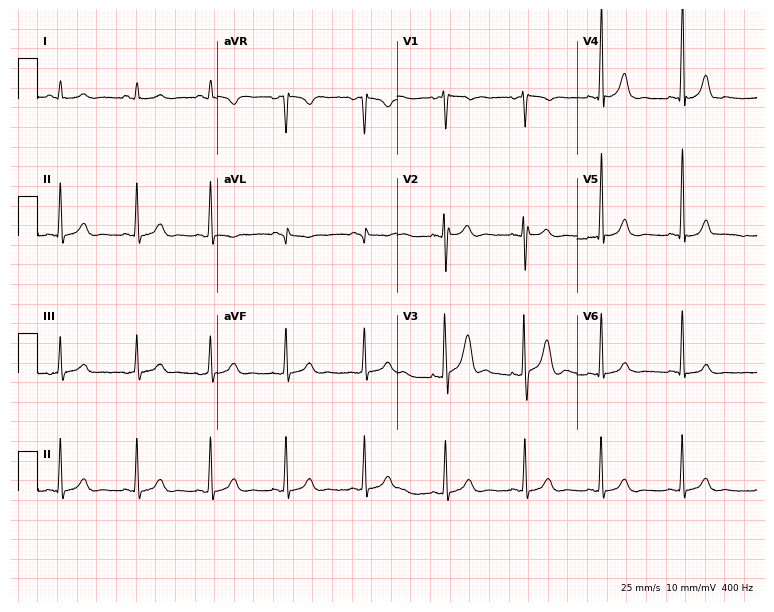
12-lead ECG from a female, 24 years old. Labelled as a normal ECG.